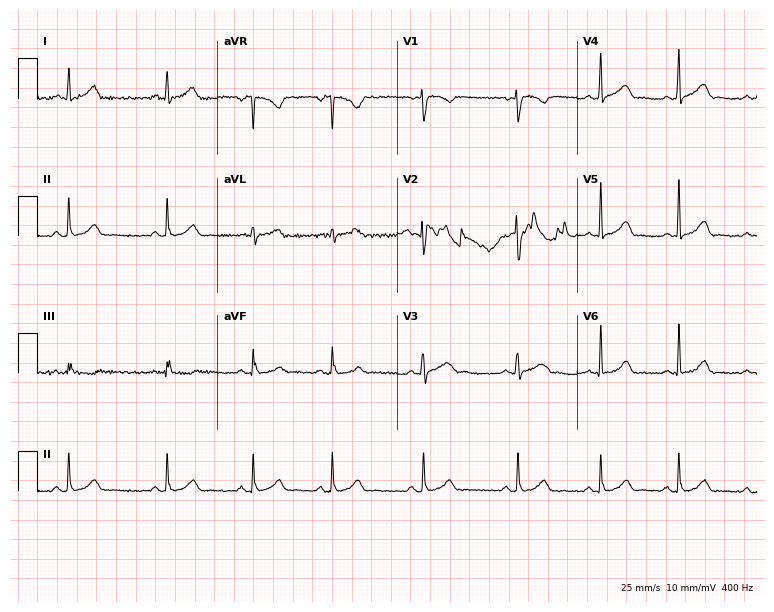
Standard 12-lead ECG recorded from a female patient, 19 years old. Read as a normal ECG.